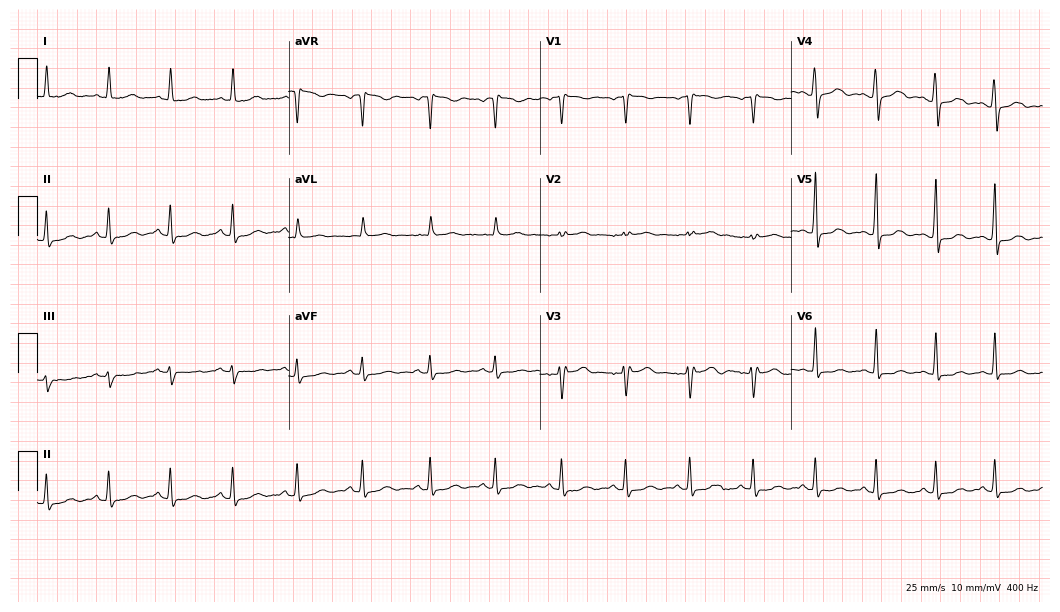
Resting 12-lead electrocardiogram. Patient: a 44-year-old woman. None of these six findings is recorded: first-degree AV block, right bundle branch block, left bundle branch block, sinus bradycardia, atrial fibrillation, sinus tachycardia. Findings outside these six are not listed.